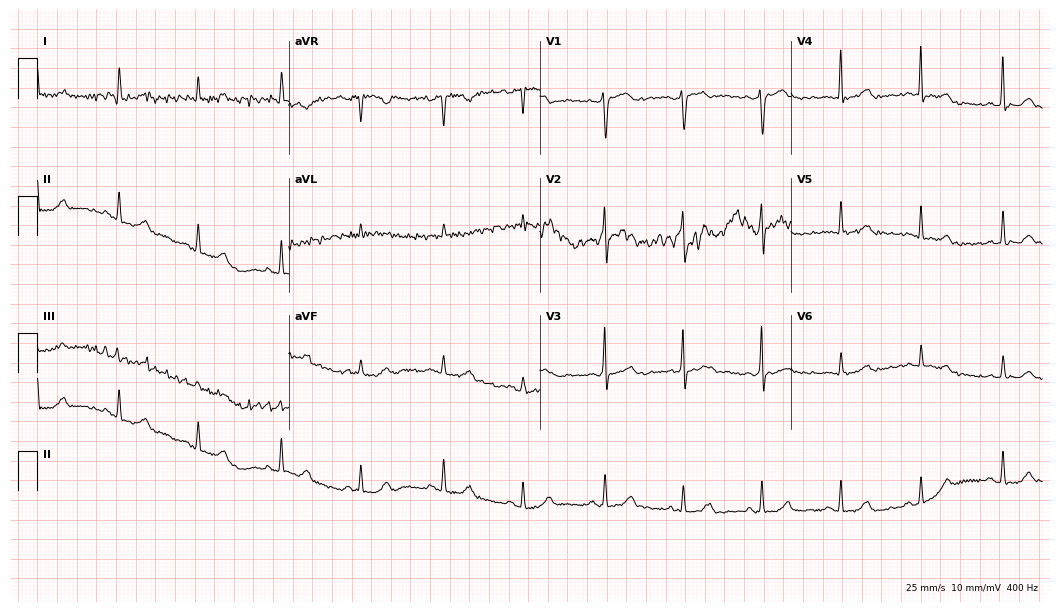
12-lead ECG from a 41-year-old woman. Screened for six findings — first-degree AV block, right bundle branch block (RBBB), left bundle branch block (LBBB), sinus bradycardia, atrial fibrillation (AF), sinus tachycardia — none is recorded. Findings outside these six are not listed.